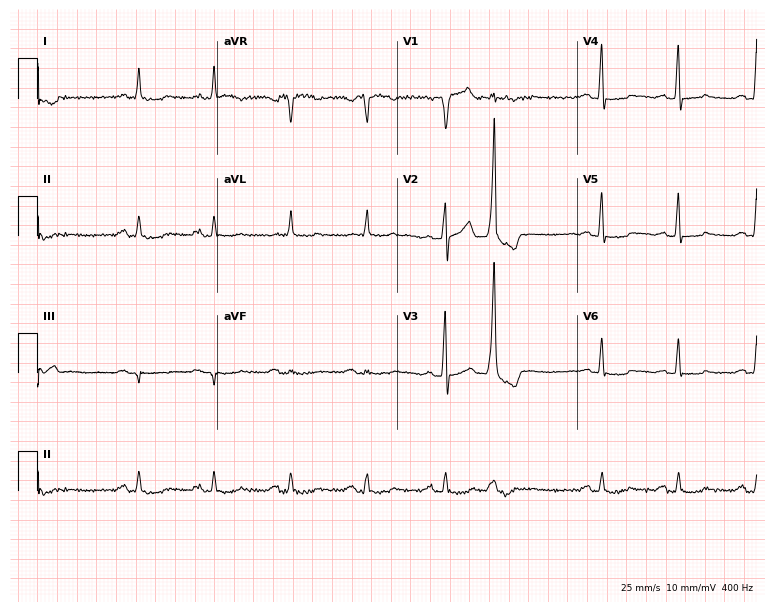
12-lead ECG from a male, 63 years old. Screened for six findings — first-degree AV block, right bundle branch block, left bundle branch block, sinus bradycardia, atrial fibrillation, sinus tachycardia — none is recorded. Only these six findings were labelled.